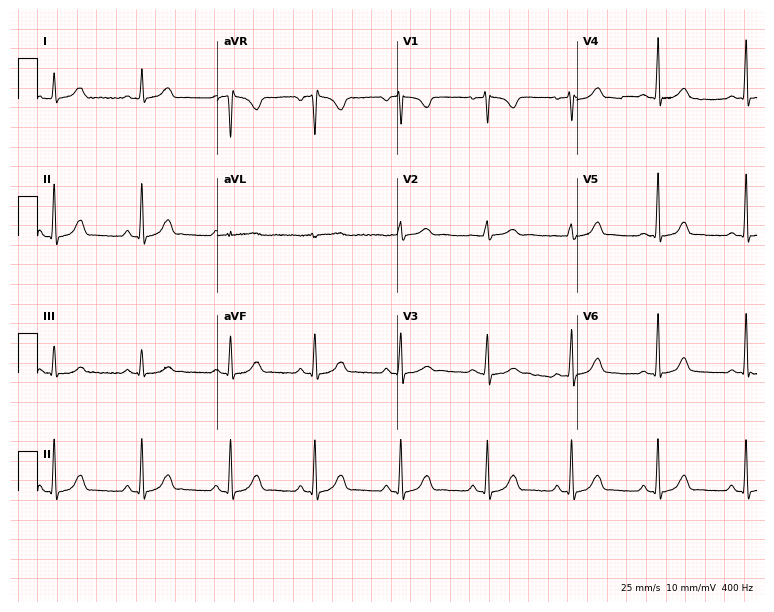
12-lead ECG from a 22-year-old woman (7.3-second recording at 400 Hz). Recorded interpretation: within normal limits.